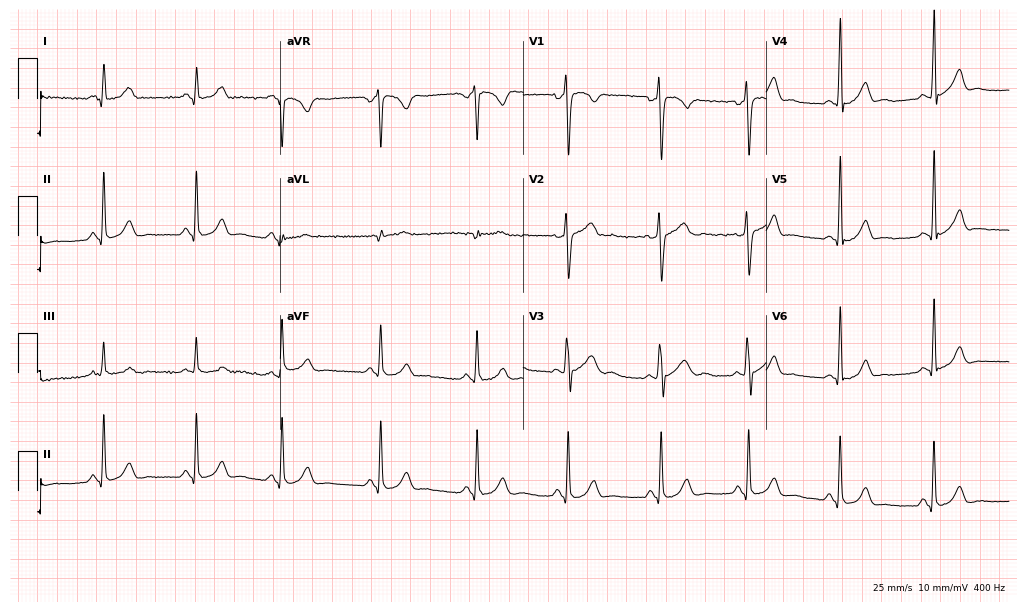
12-lead ECG (9.9-second recording at 400 Hz) from a male patient, 17 years old. Labelled as a normal ECG.